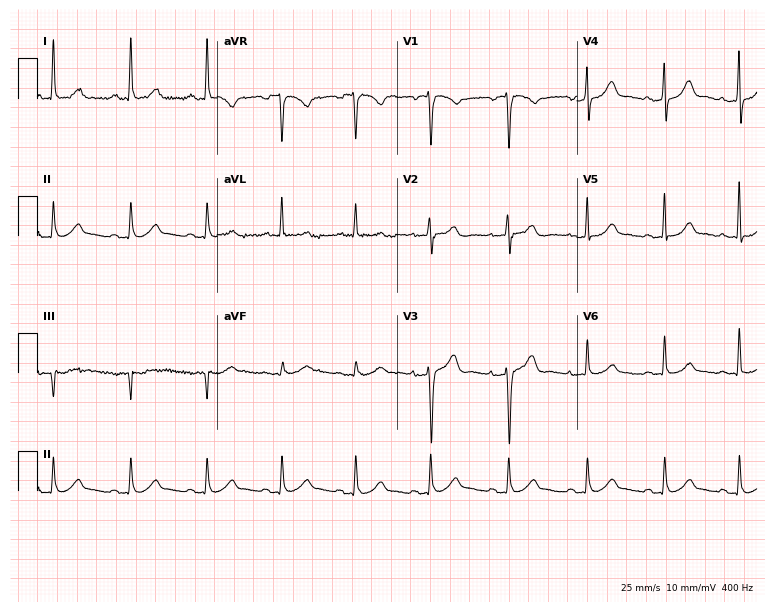
Electrocardiogram, a female patient, 52 years old. Overall reading on record: normal ECG.